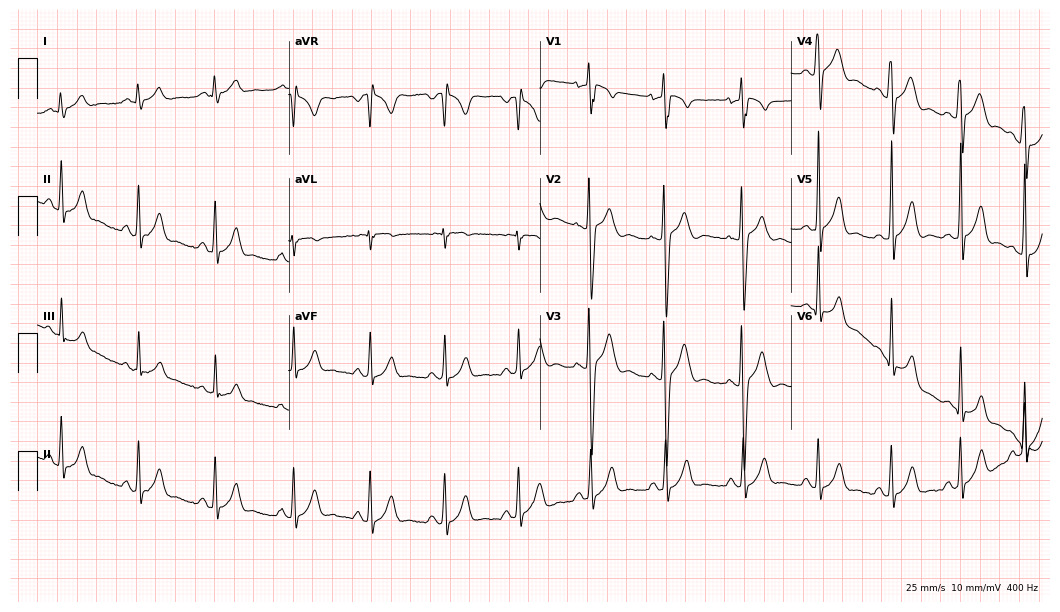
12-lead ECG from a 21-year-old male patient. Recorded interpretation: within normal limits.